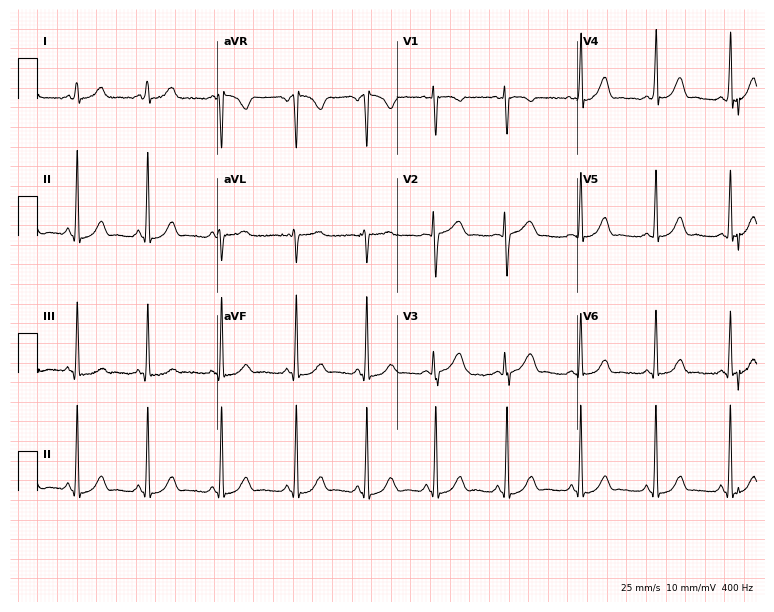
Electrocardiogram, a 19-year-old female. Of the six screened findings (first-degree AV block, right bundle branch block, left bundle branch block, sinus bradycardia, atrial fibrillation, sinus tachycardia), none is recorded. Other findings, if any, are not listed.